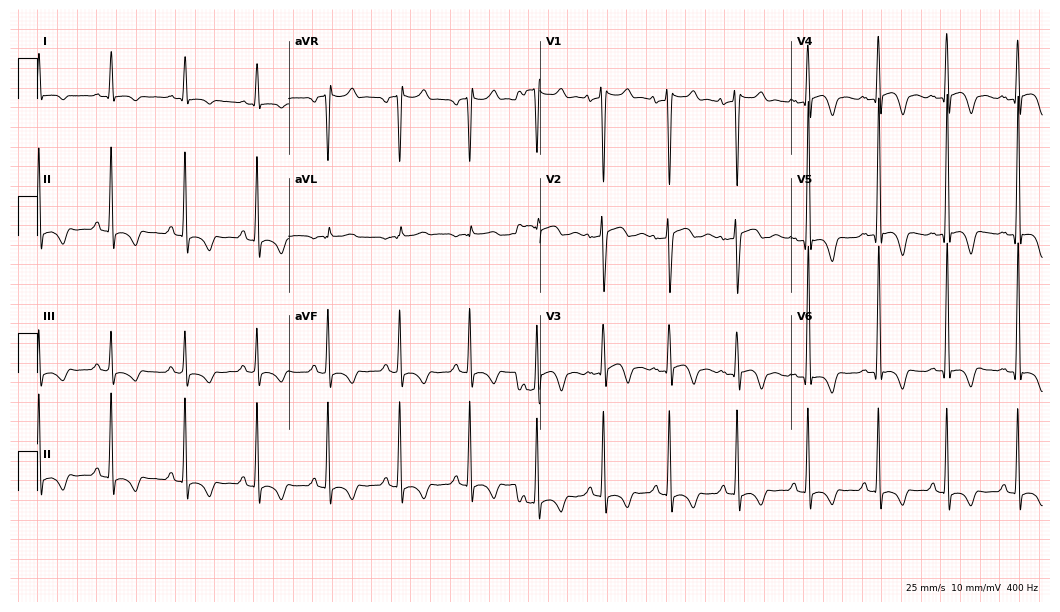
ECG (10.2-second recording at 400 Hz) — a 29-year-old male patient. Screened for six findings — first-degree AV block, right bundle branch block (RBBB), left bundle branch block (LBBB), sinus bradycardia, atrial fibrillation (AF), sinus tachycardia — none is recorded. Findings outside these six are not listed.